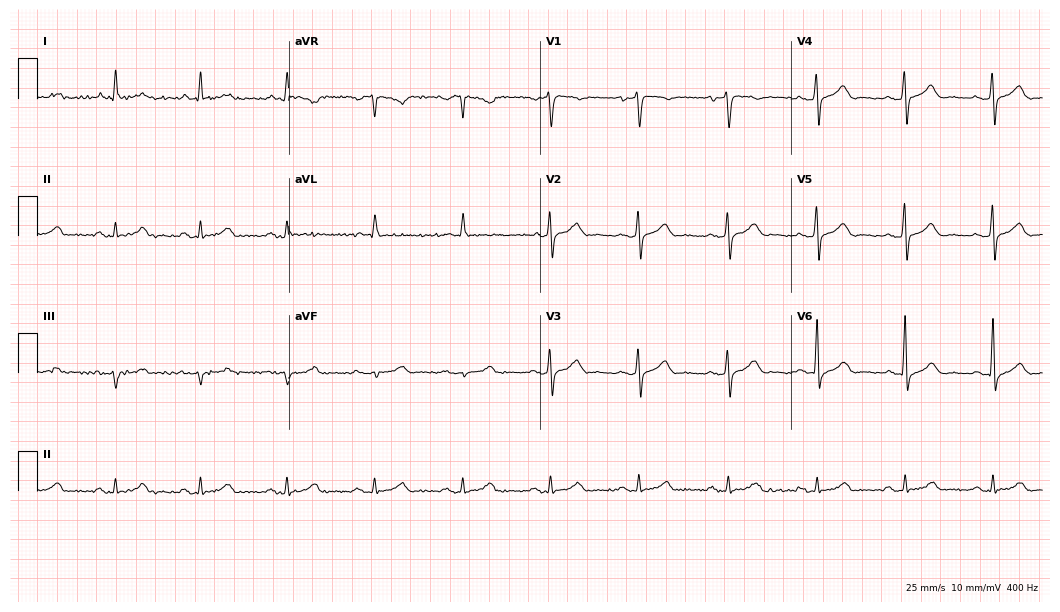
ECG (10.2-second recording at 400 Hz) — a man, 72 years old. Labelled as a normal ECG.